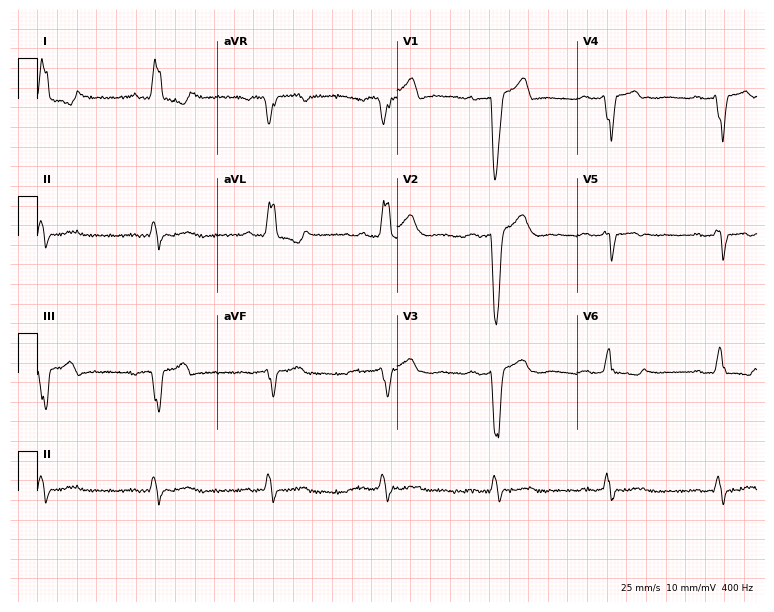
Standard 12-lead ECG recorded from a 61-year-old male patient (7.3-second recording at 400 Hz). None of these six findings is recorded: first-degree AV block, right bundle branch block (RBBB), left bundle branch block (LBBB), sinus bradycardia, atrial fibrillation (AF), sinus tachycardia.